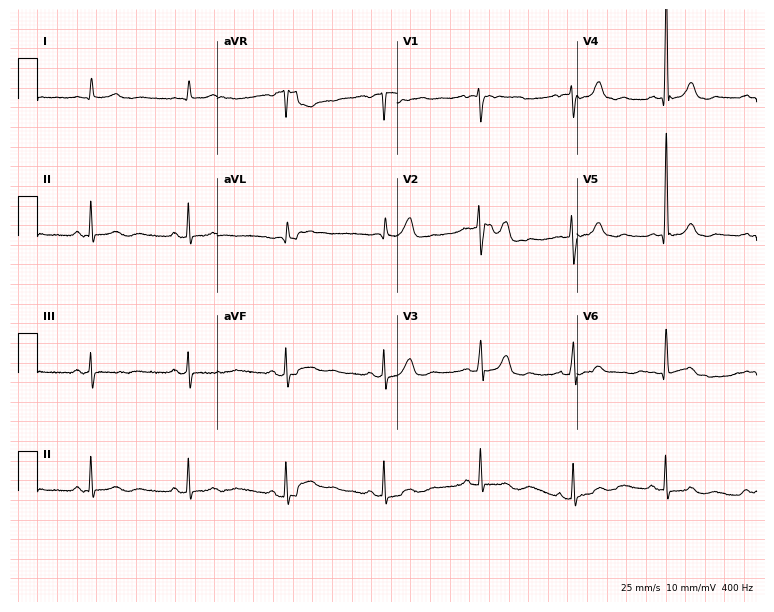
ECG (7.3-second recording at 400 Hz) — a 66-year-old woman. Screened for six findings — first-degree AV block, right bundle branch block, left bundle branch block, sinus bradycardia, atrial fibrillation, sinus tachycardia — none is recorded. Other findings, if any, are not listed.